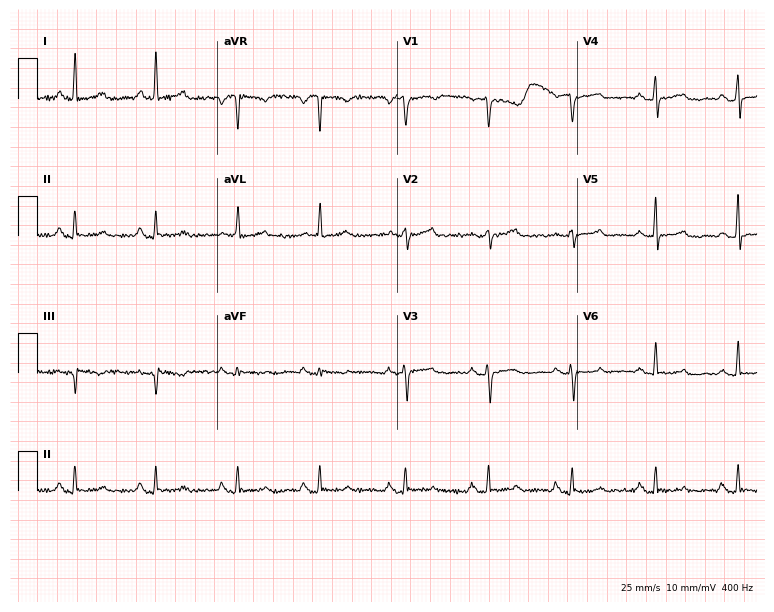
Standard 12-lead ECG recorded from a female, 56 years old (7.3-second recording at 400 Hz). None of these six findings is recorded: first-degree AV block, right bundle branch block, left bundle branch block, sinus bradycardia, atrial fibrillation, sinus tachycardia. Other findings, if any, are not listed.